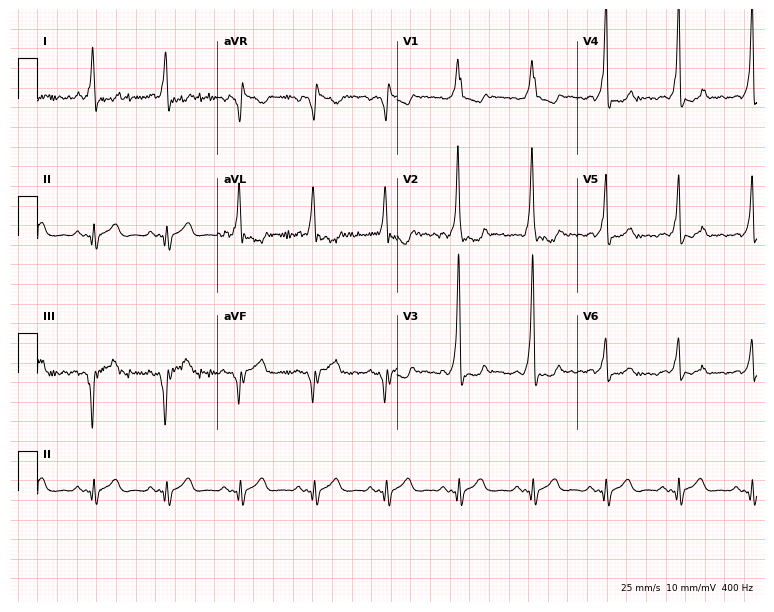
Standard 12-lead ECG recorded from a male patient, 22 years old (7.3-second recording at 400 Hz). The tracing shows right bundle branch block.